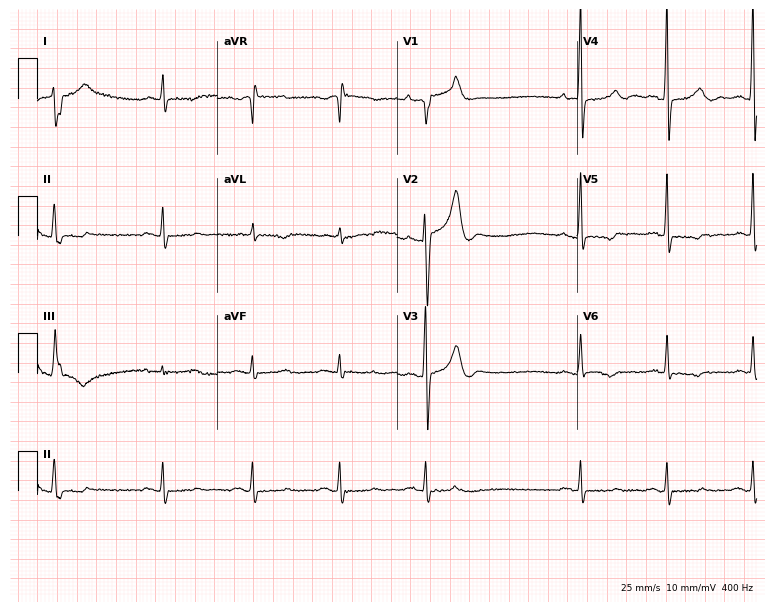
Standard 12-lead ECG recorded from a 67-year-old male patient (7.3-second recording at 400 Hz). None of these six findings is recorded: first-degree AV block, right bundle branch block (RBBB), left bundle branch block (LBBB), sinus bradycardia, atrial fibrillation (AF), sinus tachycardia. Findings outside these six are not listed.